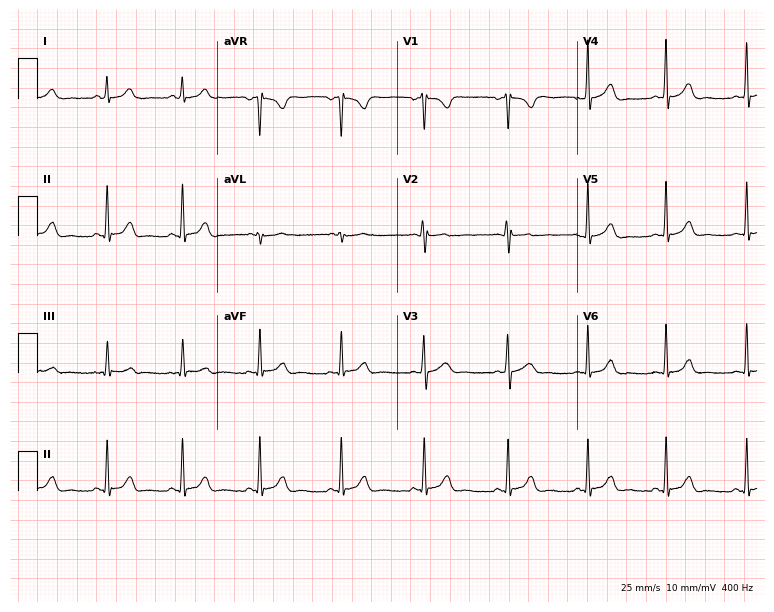
ECG (7.3-second recording at 400 Hz) — a female patient, 20 years old. Labelled as a normal ECG.